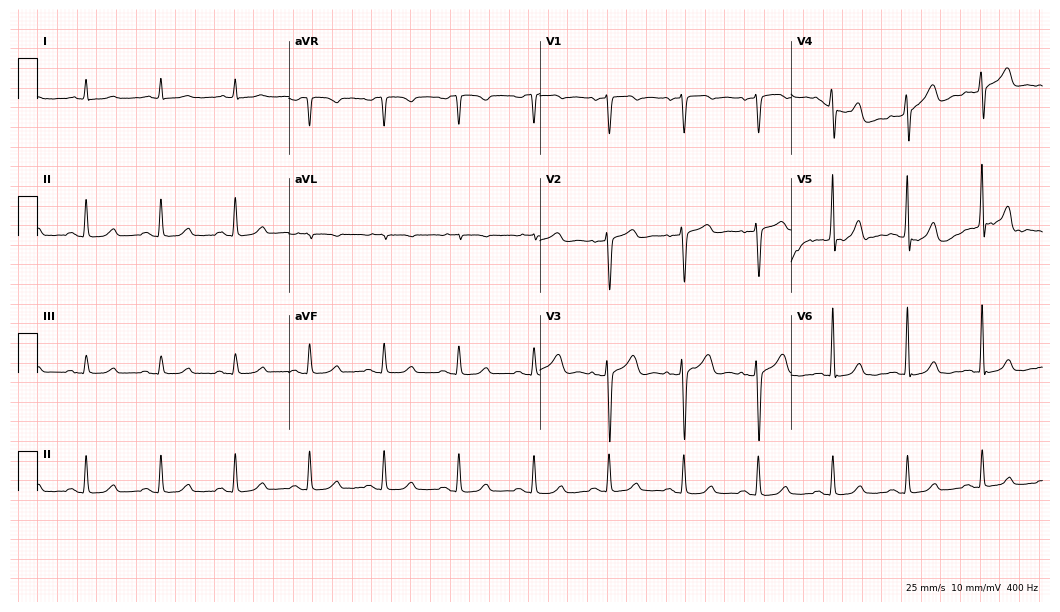
Electrocardiogram, a 65-year-old male patient. Overall reading on record: normal ECG.